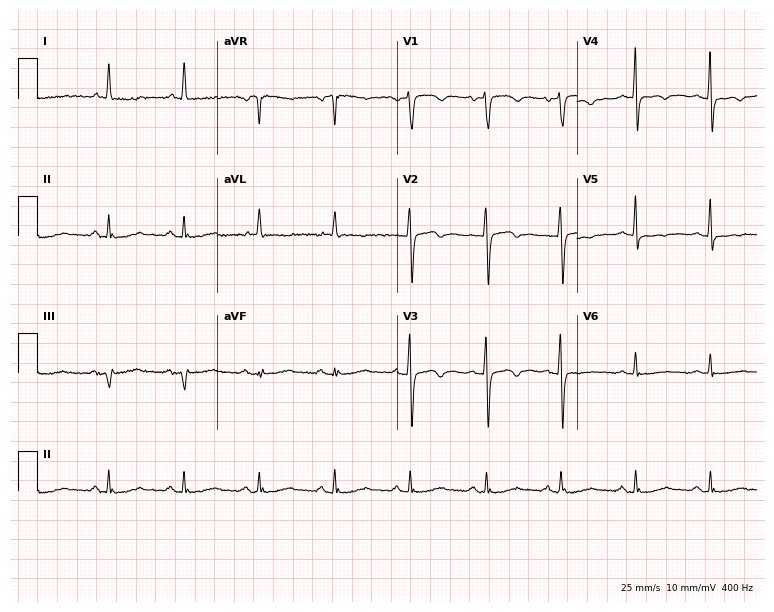
Electrocardiogram, a 64-year-old female patient. Of the six screened findings (first-degree AV block, right bundle branch block, left bundle branch block, sinus bradycardia, atrial fibrillation, sinus tachycardia), none is recorded.